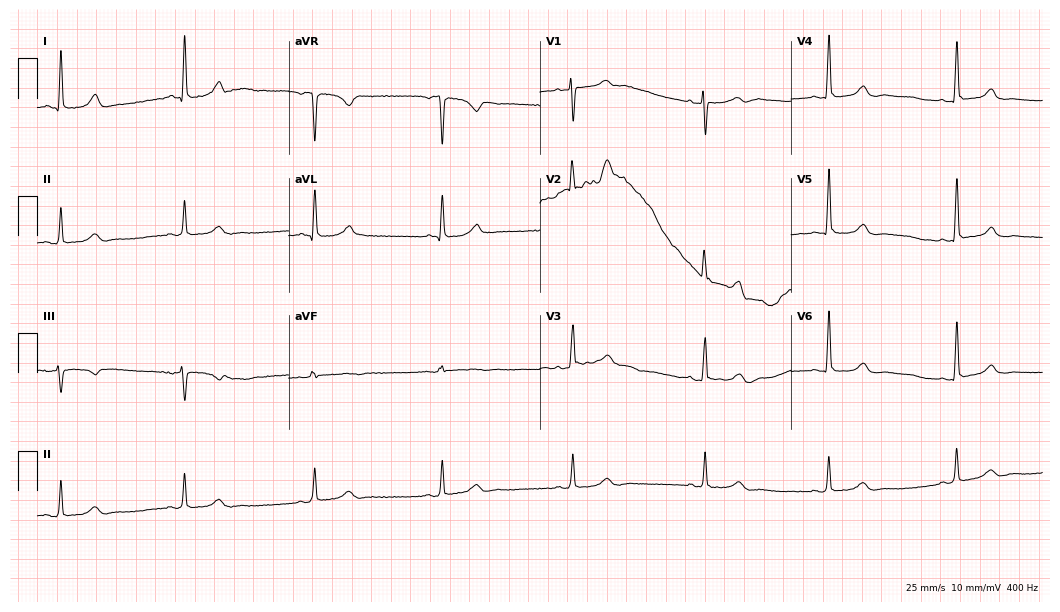
ECG — a female, 83 years old. Findings include sinus bradycardia (a sinus rate of 50 beats per minute or less).